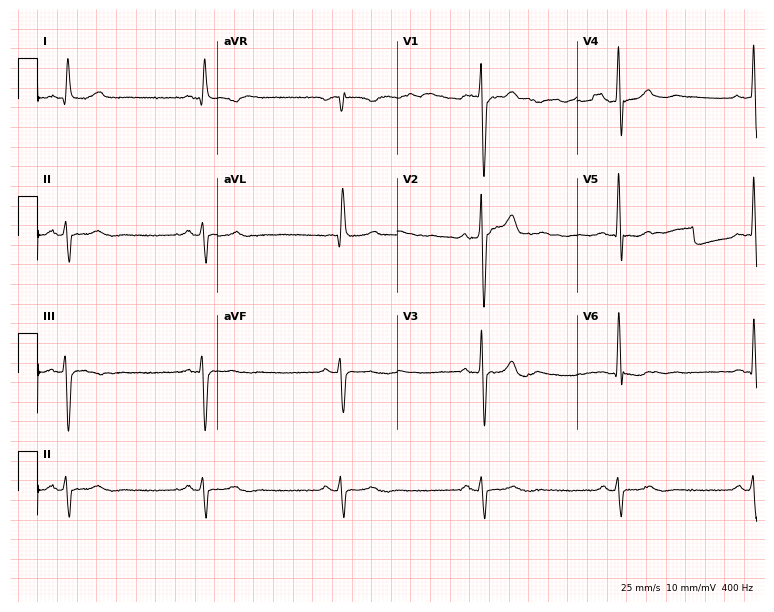
Resting 12-lead electrocardiogram (7.3-second recording at 400 Hz). Patient: a male, 78 years old. The tracing shows sinus bradycardia (a sinus rate of 50 beats per minute or less).